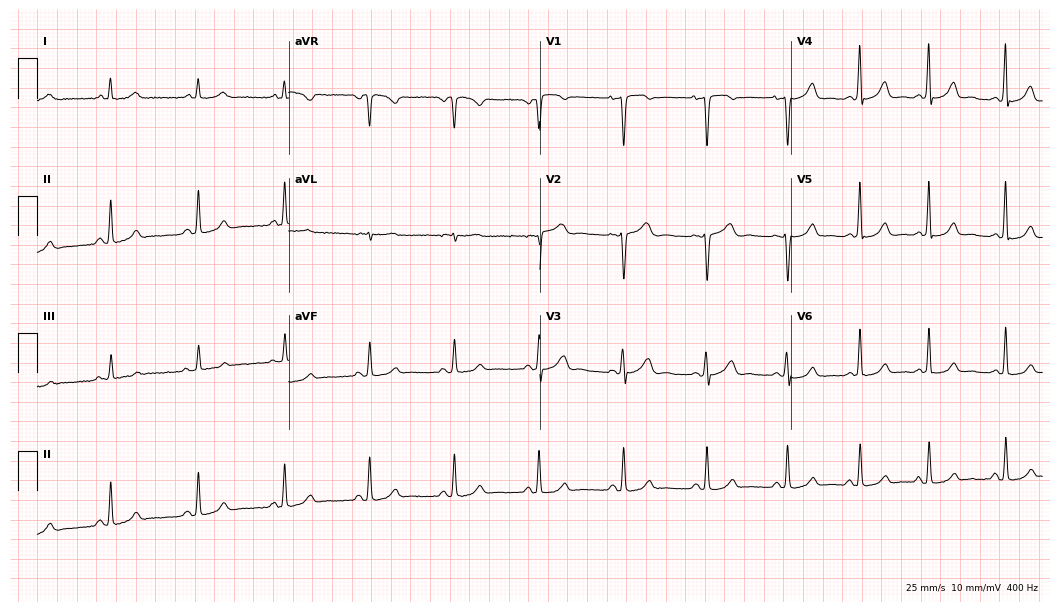
ECG — a 45-year-old woman. Screened for six findings — first-degree AV block, right bundle branch block, left bundle branch block, sinus bradycardia, atrial fibrillation, sinus tachycardia — none is recorded.